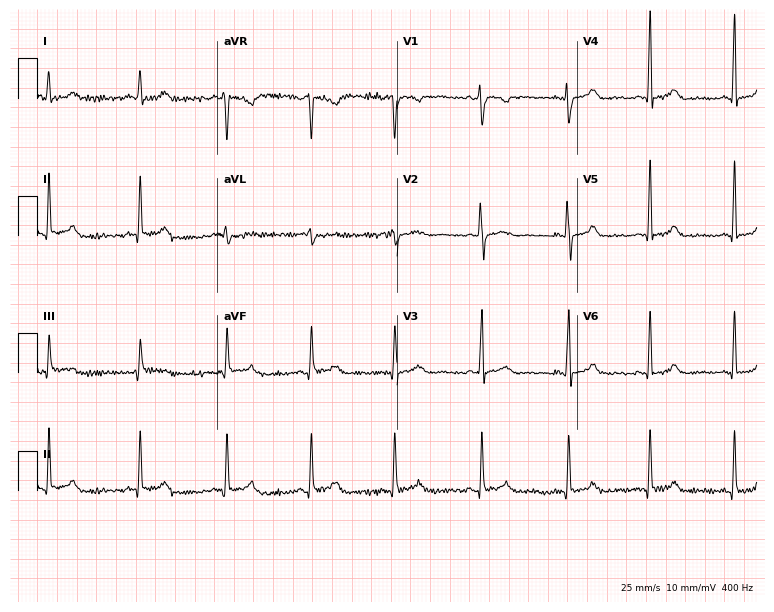
ECG — a 44-year-old female patient. Screened for six findings — first-degree AV block, right bundle branch block, left bundle branch block, sinus bradycardia, atrial fibrillation, sinus tachycardia — none is recorded.